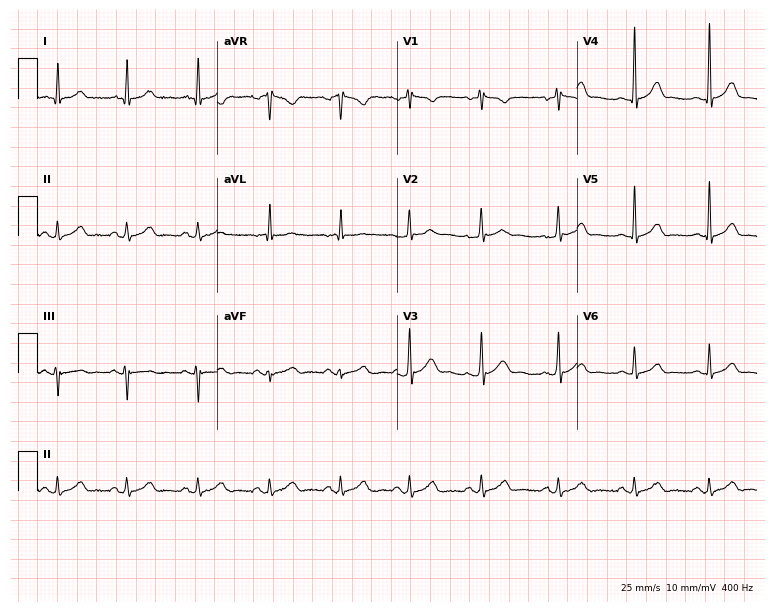
Standard 12-lead ECG recorded from a man, 26 years old (7.3-second recording at 400 Hz). Read as a normal ECG.